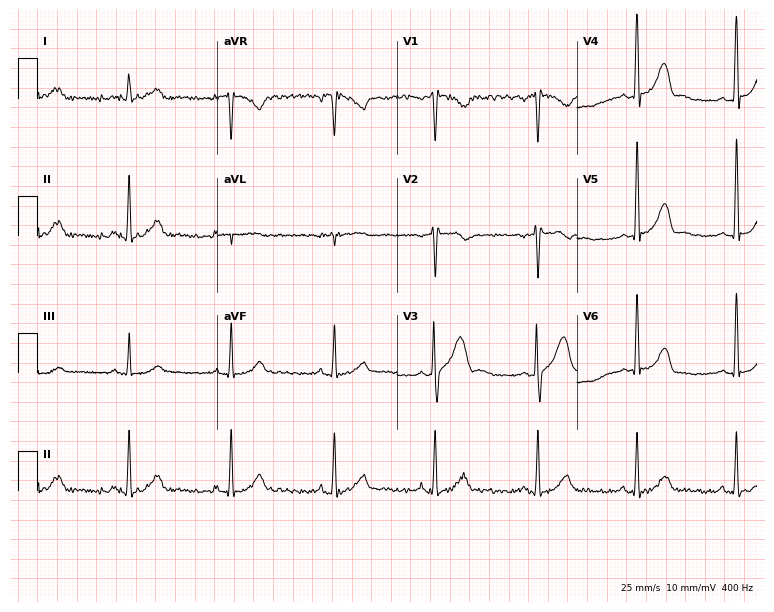
Electrocardiogram, a 35-year-old man. Of the six screened findings (first-degree AV block, right bundle branch block (RBBB), left bundle branch block (LBBB), sinus bradycardia, atrial fibrillation (AF), sinus tachycardia), none is recorded.